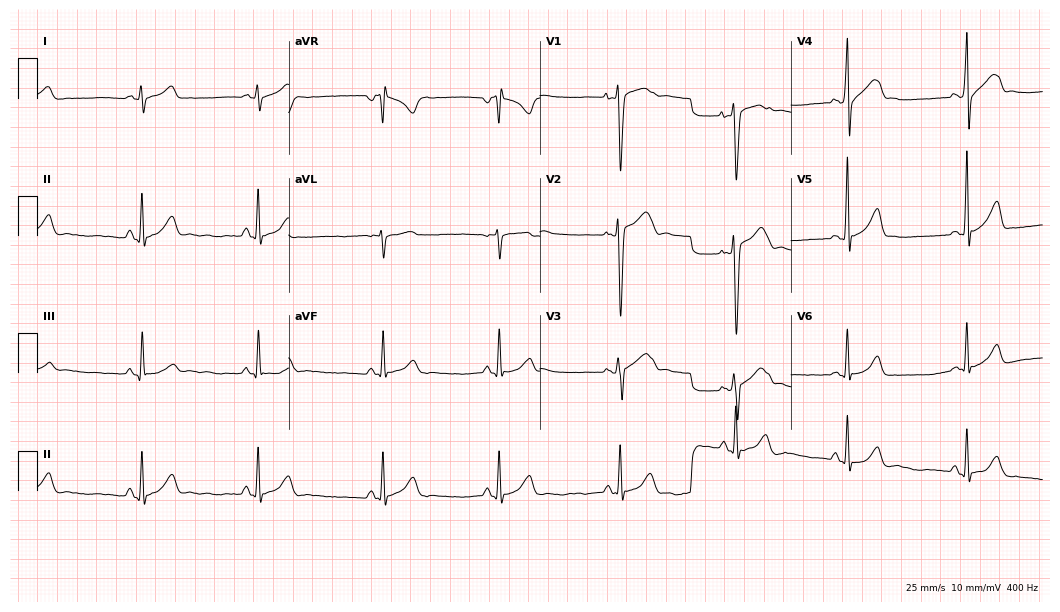
Electrocardiogram, a male, 18 years old. Overall reading on record: normal ECG.